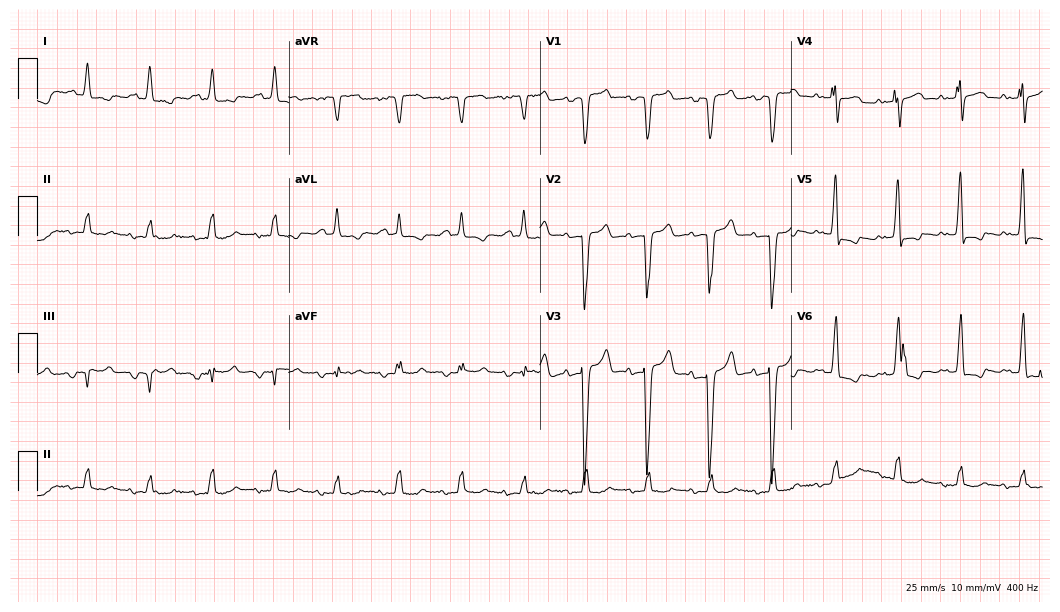
ECG (10.2-second recording at 400 Hz) — a male patient, 76 years old. Screened for six findings — first-degree AV block, right bundle branch block, left bundle branch block, sinus bradycardia, atrial fibrillation, sinus tachycardia — none is recorded. Other findings, if any, are not listed.